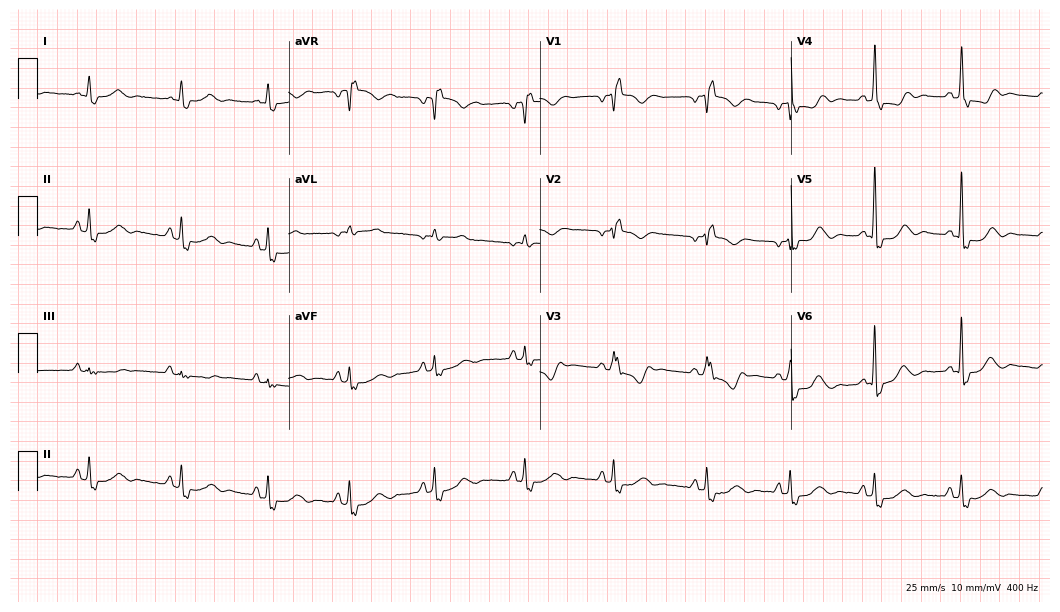
Electrocardiogram (10.2-second recording at 400 Hz), a female, 55 years old. Interpretation includes right bundle branch block (RBBB).